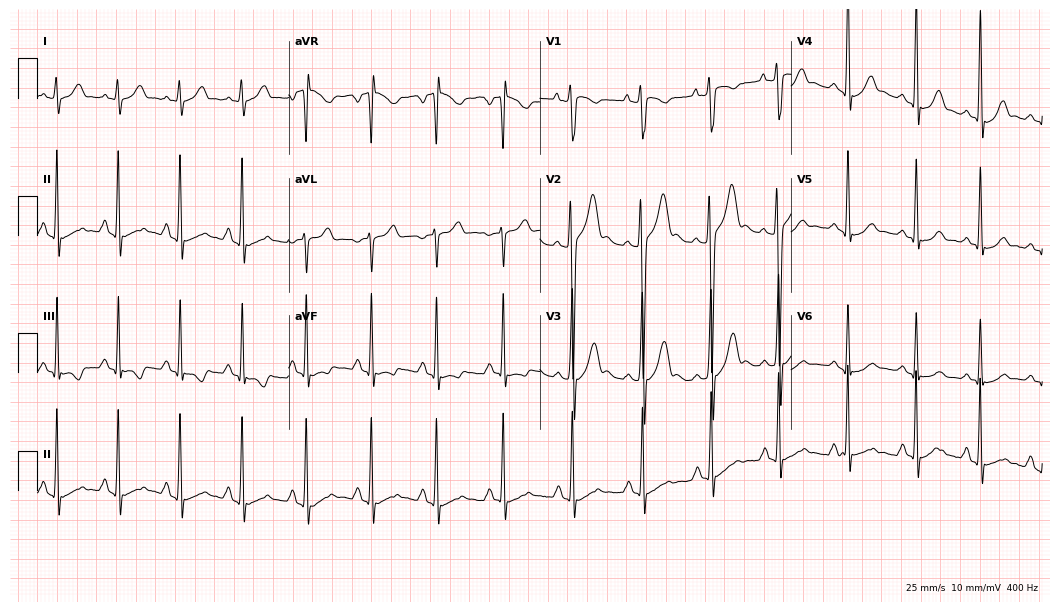
Standard 12-lead ECG recorded from a male, 20 years old. None of these six findings is recorded: first-degree AV block, right bundle branch block, left bundle branch block, sinus bradycardia, atrial fibrillation, sinus tachycardia.